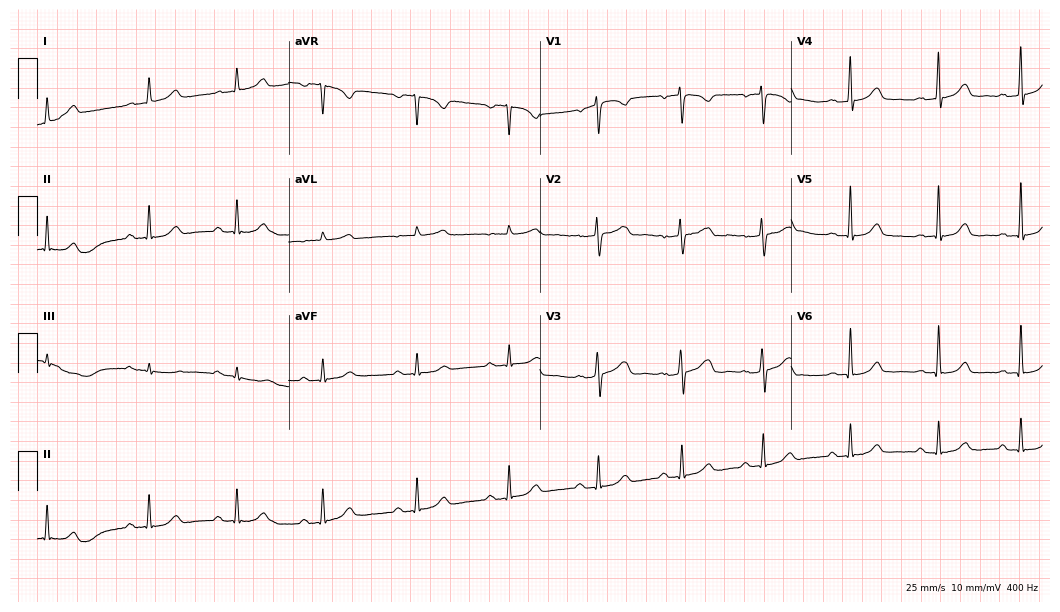
Resting 12-lead electrocardiogram. Patient: a woman, 37 years old. Read as a normal ECG.